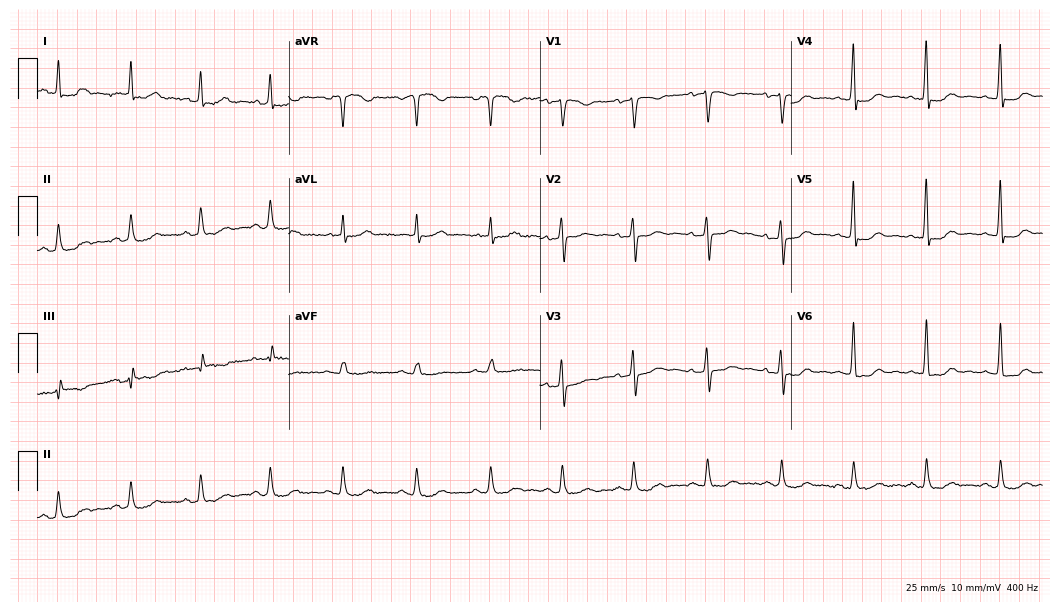
Electrocardiogram, a 56-year-old woman. Overall reading on record: normal ECG.